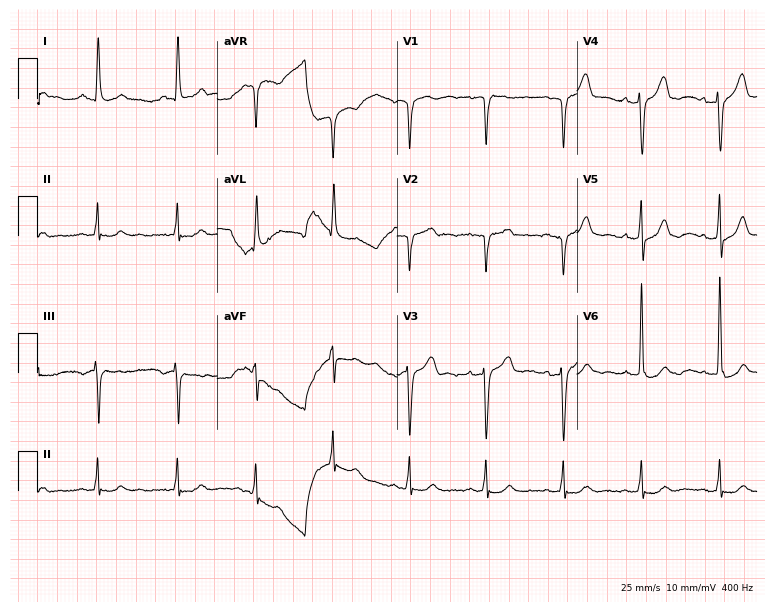
Resting 12-lead electrocardiogram (7.3-second recording at 400 Hz). Patient: a 64-year-old man. None of these six findings is recorded: first-degree AV block, right bundle branch block, left bundle branch block, sinus bradycardia, atrial fibrillation, sinus tachycardia.